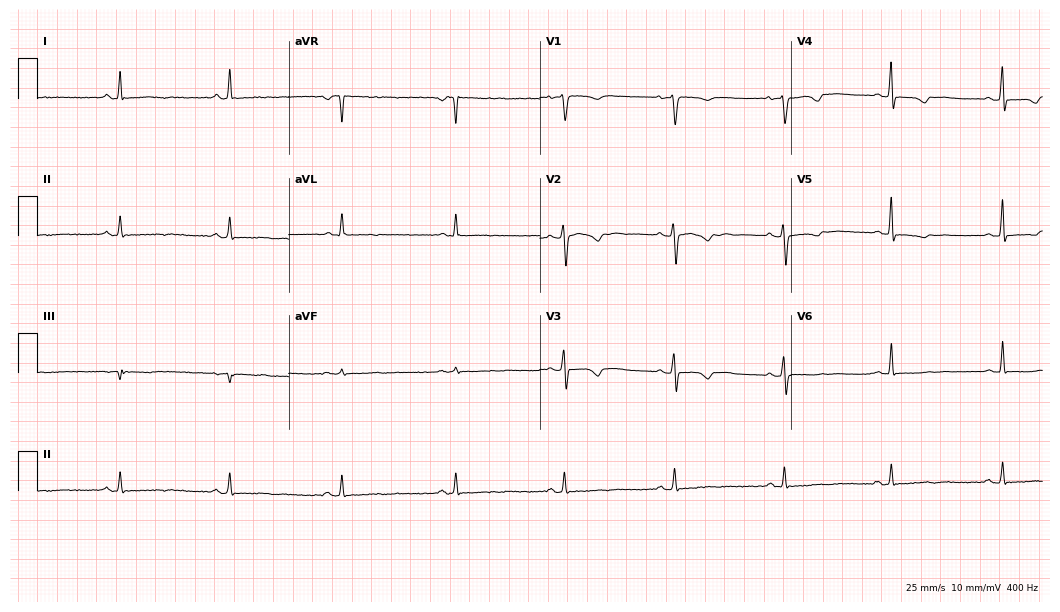
12-lead ECG (10.2-second recording at 400 Hz) from a 35-year-old female. Screened for six findings — first-degree AV block, right bundle branch block, left bundle branch block, sinus bradycardia, atrial fibrillation, sinus tachycardia — none is recorded. Findings outside these six are not listed.